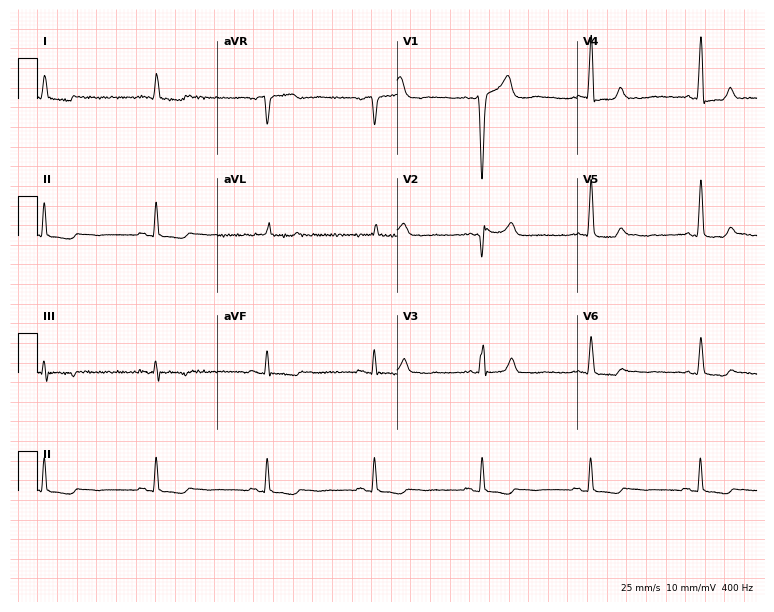
ECG — a man, 61 years old. Screened for six findings — first-degree AV block, right bundle branch block, left bundle branch block, sinus bradycardia, atrial fibrillation, sinus tachycardia — none is recorded. Only these six findings were labelled.